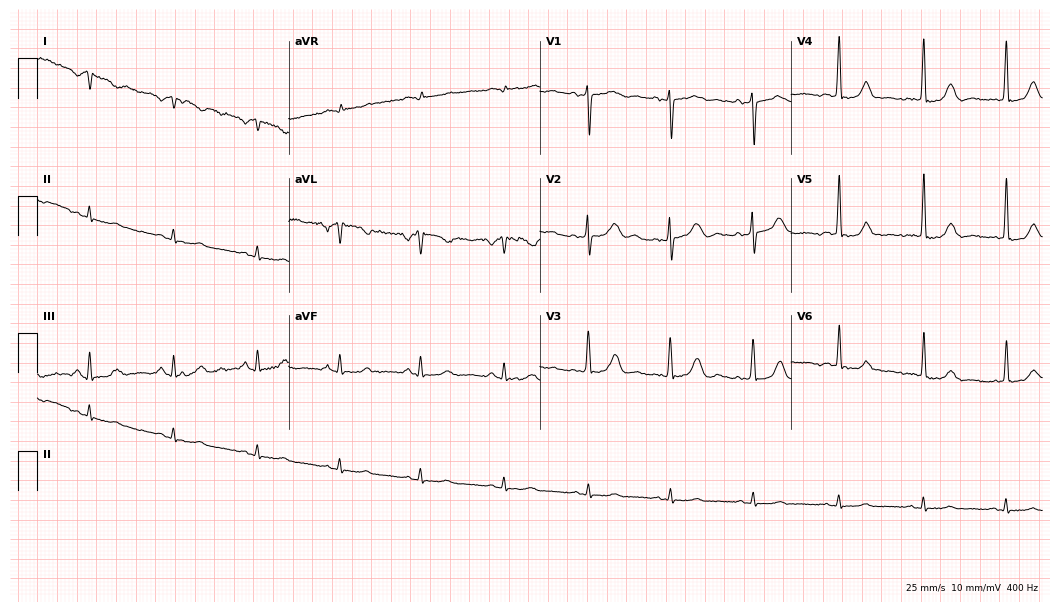
Electrocardiogram, a woman, 70 years old. Of the six screened findings (first-degree AV block, right bundle branch block, left bundle branch block, sinus bradycardia, atrial fibrillation, sinus tachycardia), none is recorded. Other findings, if any, are not listed.